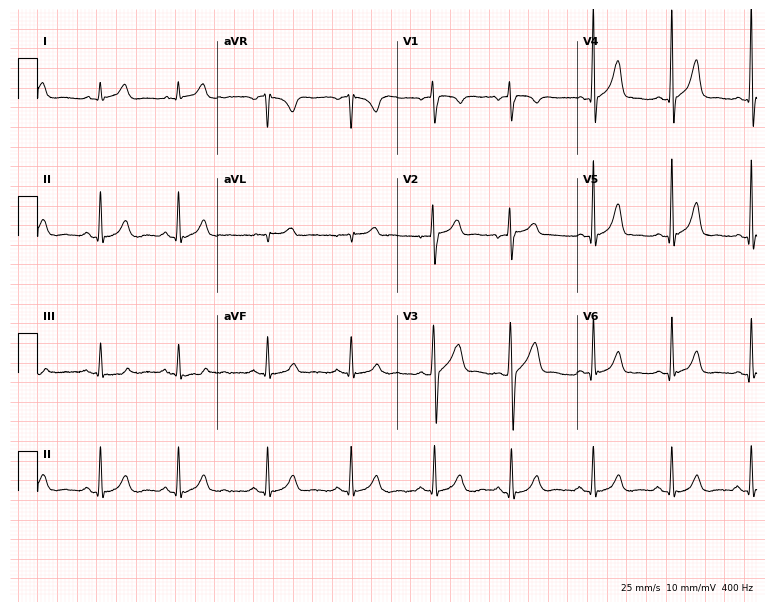
Standard 12-lead ECG recorded from a man, 37 years old (7.3-second recording at 400 Hz). Read as a normal ECG.